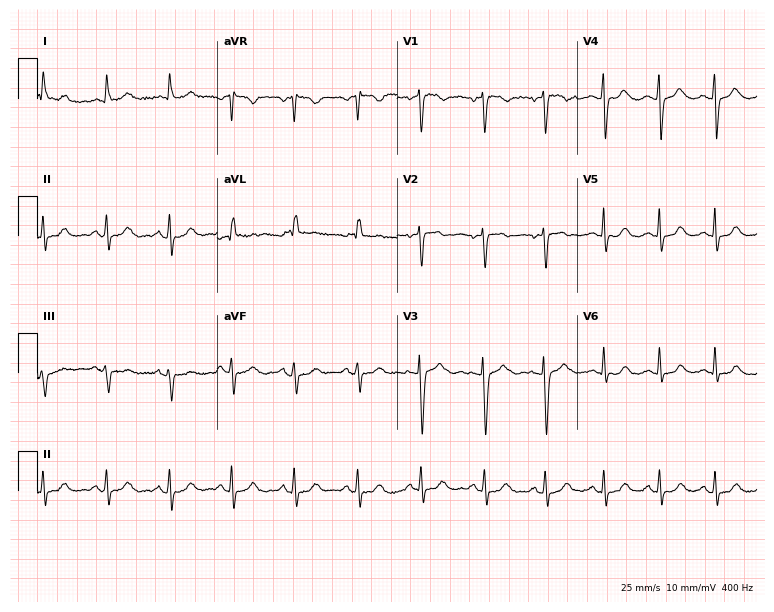
Standard 12-lead ECG recorded from a woman, 40 years old. Read as a normal ECG.